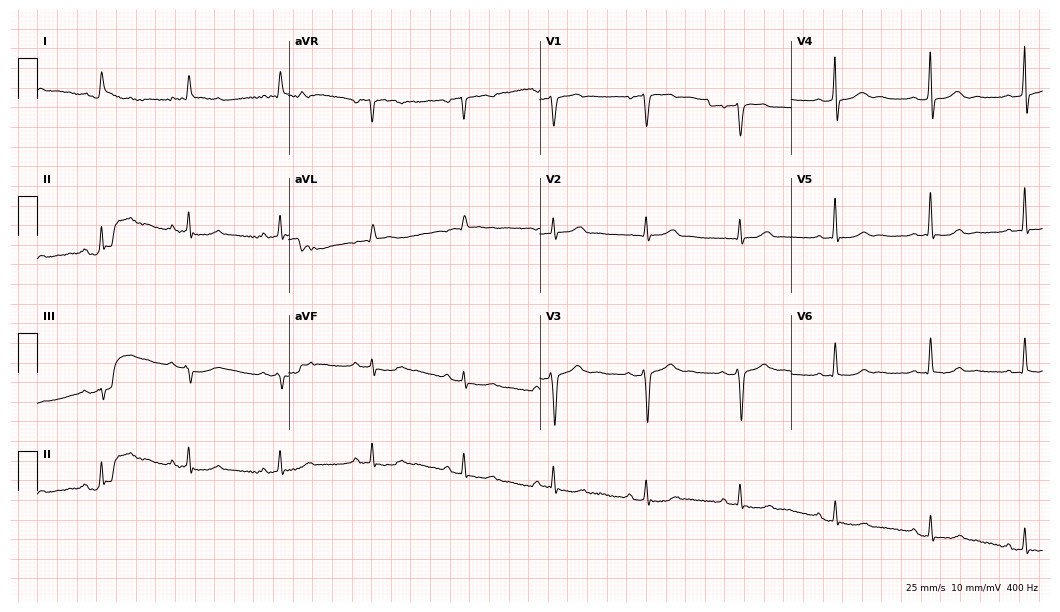
12-lead ECG from a 63-year-old male. Screened for six findings — first-degree AV block, right bundle branch block (RBBB), left bundle branch block (LBBB), sinus bradycardia, atrial fibrillation (AF), sinus tachycardia — none is recorded.